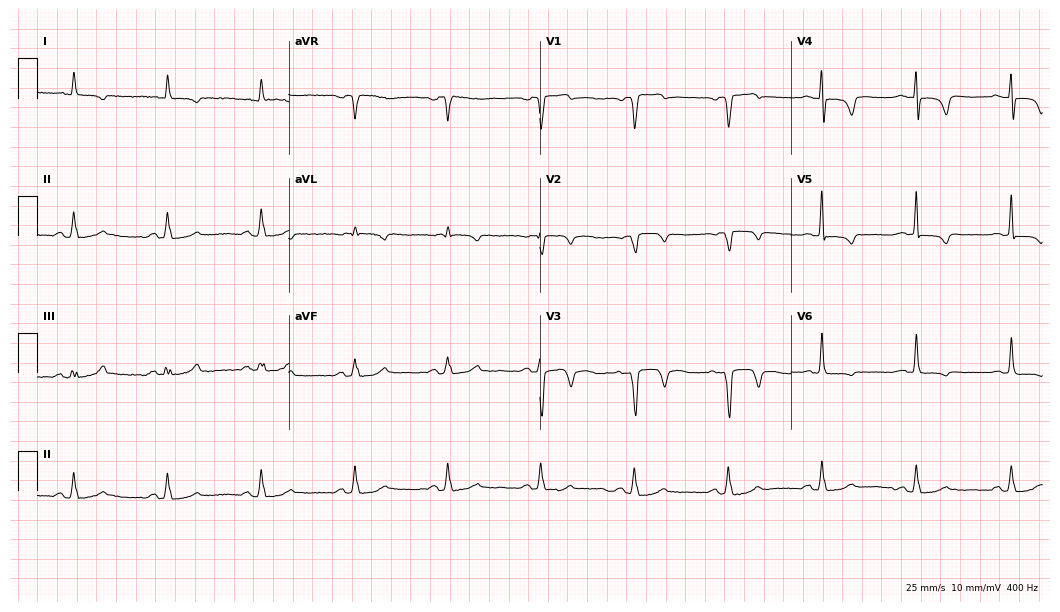
Resting 12-lead electrocardiogram (10.2-second recording at 400 Hz). Patient: an 83-year-old male. None of these six findings is recorded: first-degree AV block, right bundle branch block, left bundle branch block, sinus bradycardia, atrial fibrillation, sinus tachycardia. Other findings, if any, are not listed.